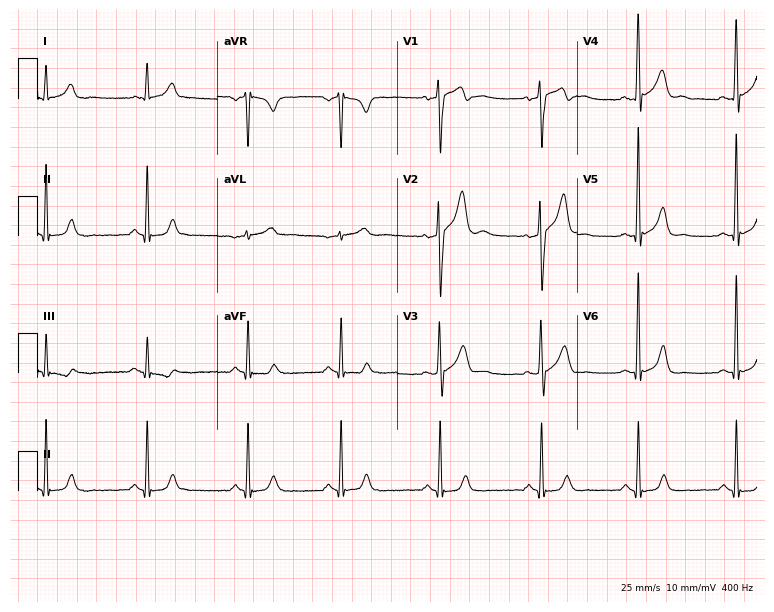
Standard 12-lead ECG recorded from a male, 35 years old (7.3-second recording at 400 Hz). Read as a normal ECG.